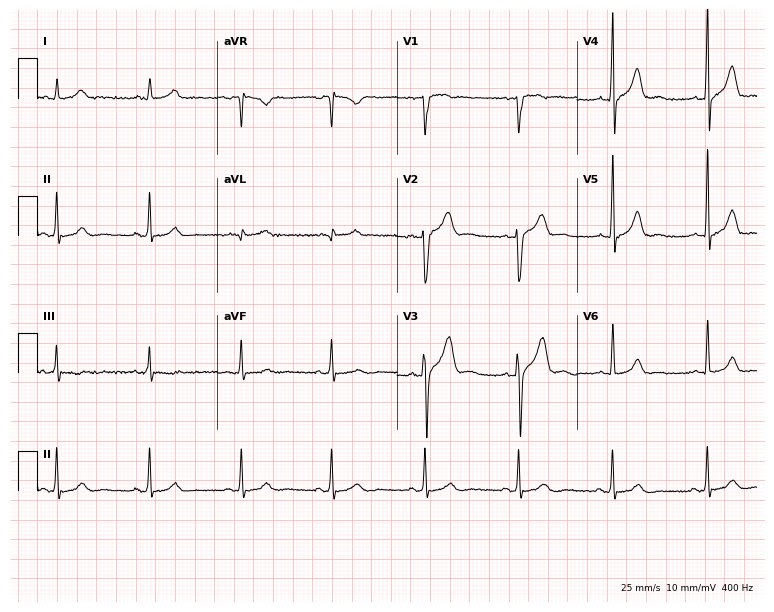
12-lead ECG from a male patient, 38 years old (7.3-second recording at 400 Hz). Recorded interpretation: within normal limits.